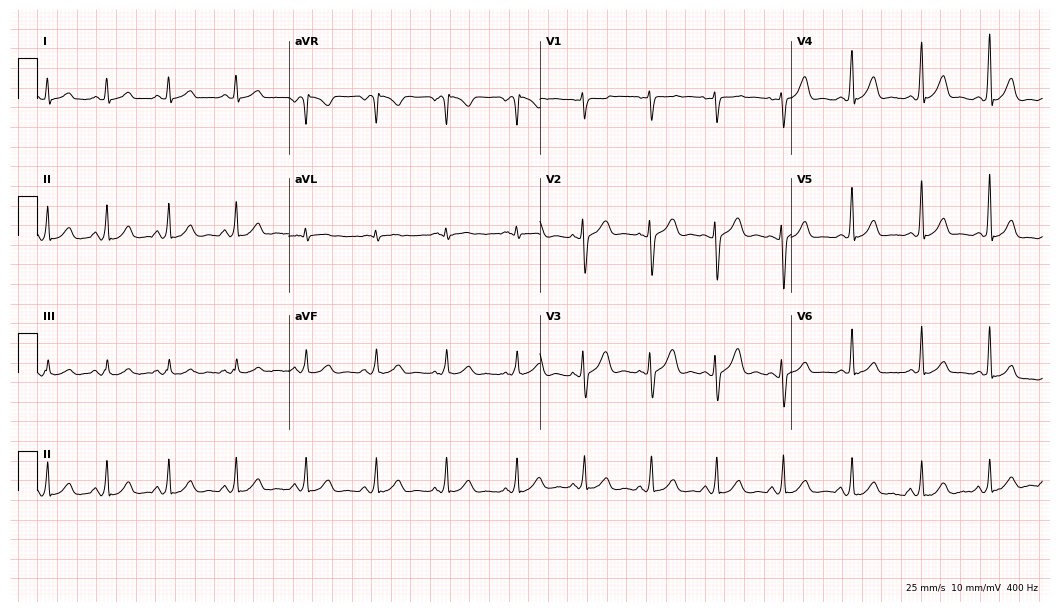
12-lead ECG from a female, 29 years old (10.2-second recording at 400 Hz). Recorded interpretation: within normal limits.